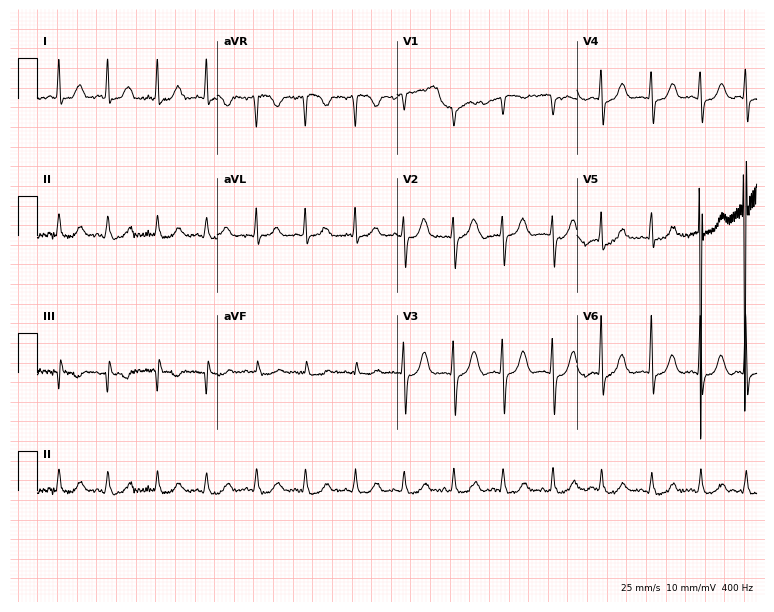
Resting 12-lead electrocardiogram. Patient: a female, 81 years old. The tracing shows sinus tachycardia (a sinus rate of 100 beats per minute or more).